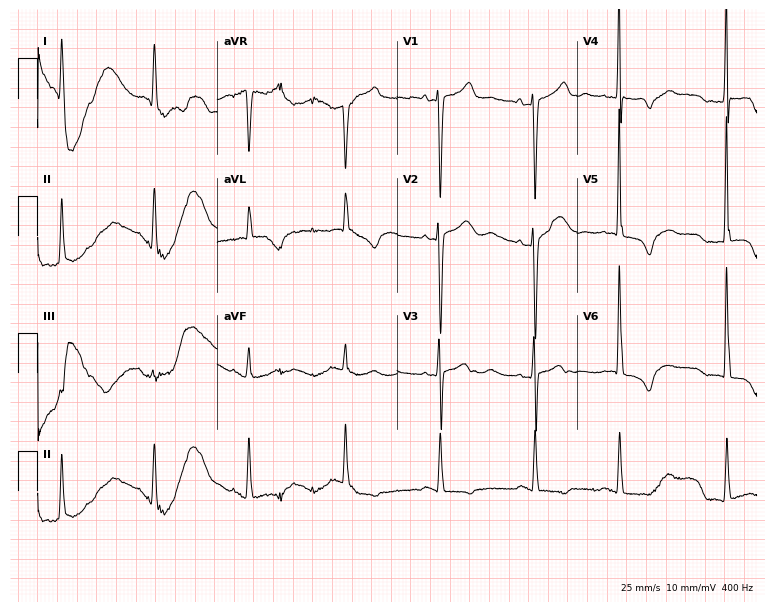
ECG — a woman, 63 years old. Screened for six findings — first-degree AV block, right bundle branch block, left bundle branch block, sinus bradycardia, atrial fibrillation, sinus tachycardia — none is recorded. Other findings, if any, are not listed.